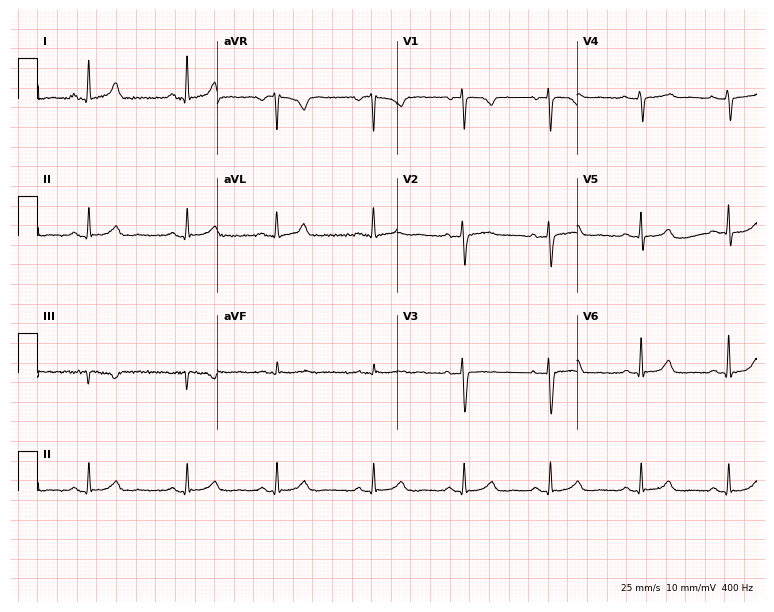
Resting 12-lead electrocardiogram (7.3-second recording at 400 Hz). Patient: a 44-year-old woman. None of these six findings is recorded: first-degree AV block, right bundle branch block, left bundle branch block, sinus bradycardia, atrial fibrillation, sinus tachycardia.